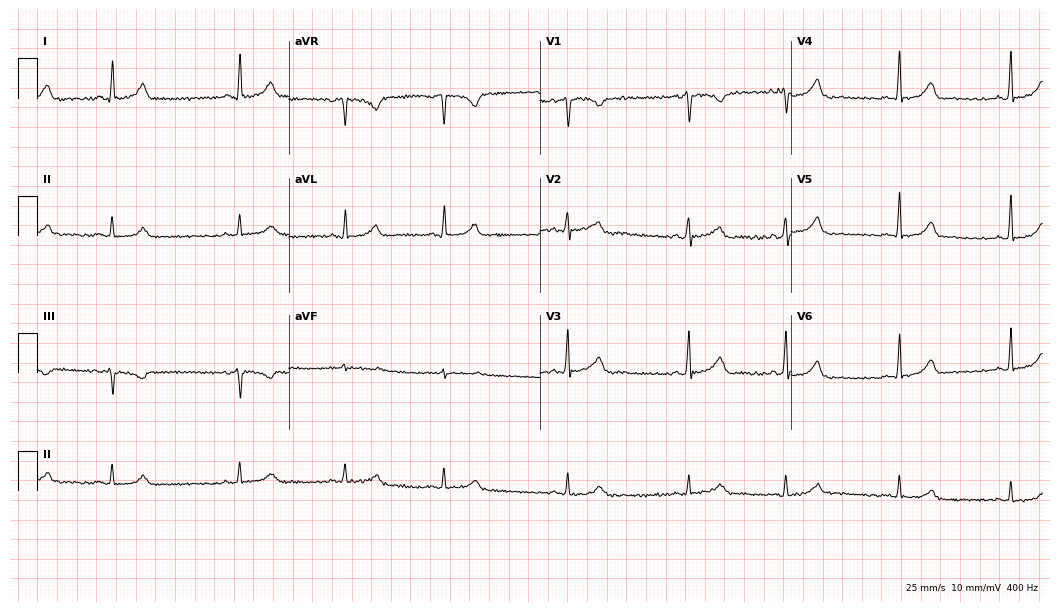
Resting 12-lead electrocardiogram. Patient: a female, 27 years old. None of these six findings is recorded: first-degree AV block, right bundle branch block, left bundle branch block, sinus bradycardia, atrial fibrillation, sinus tachycardia. Other findings, if any, are not listed.